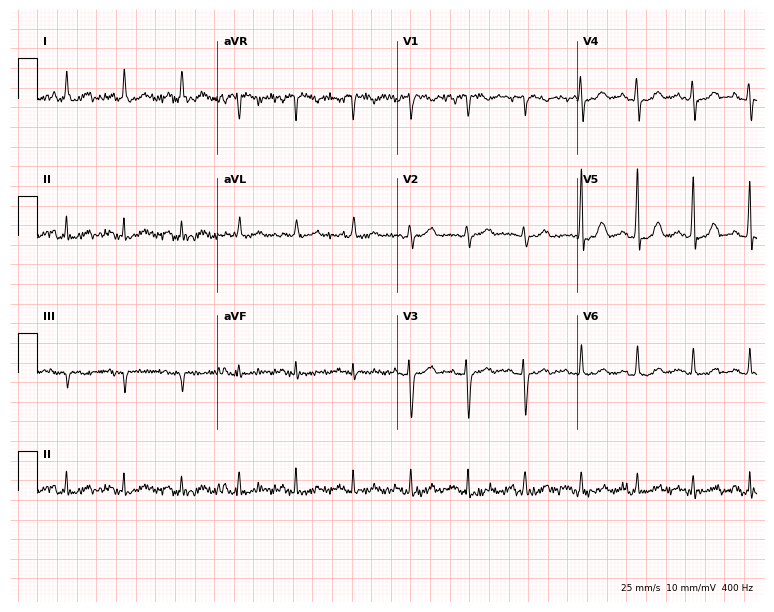
Electrocardiogram, a 75-year-old woman. Of the six screened findings (first-degree AV block, right bundle branch block, left bundle branch block, sinus bradycardia, atrial fibrillation, sinus tachycardia), none is recorded. Only these six findings were labelled.